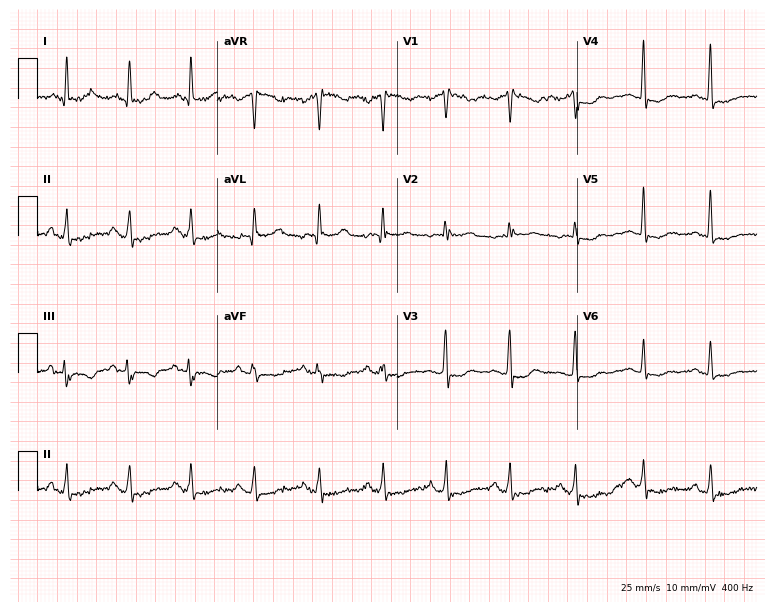
Resting 12-lead electrocardiogram (7.3-second recording at 400 Hz). Patient: a female, 50 years old. None of these six findings is recorded: first-degree AV block, right bundle branch block (RBBB), left bundle branch block (LBBB), sinus bradycardia, atrial fibrillation (AF), sinus tachycardia.